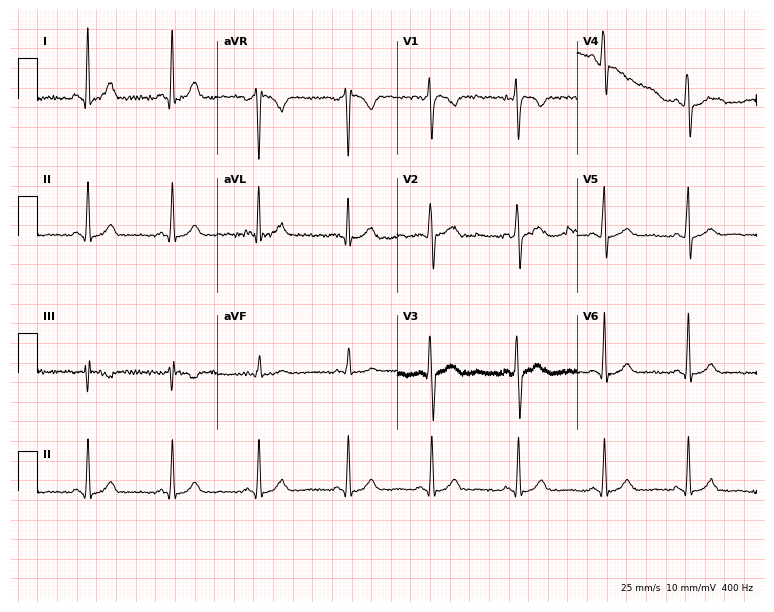
Standard 12-lead ECG recorded from a 22-year-old male. Read as a normal ECG.